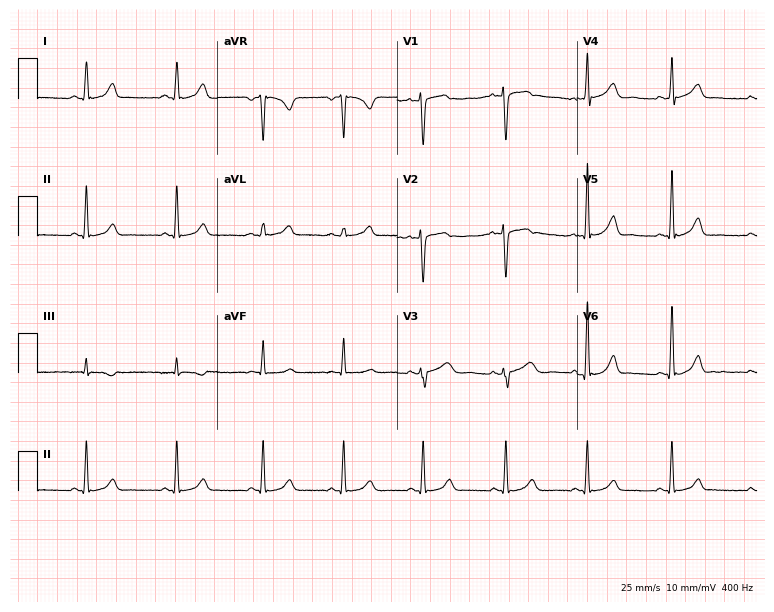
12-lead ECG from a 35-year-old female patient. Labelled as a normal ECG.